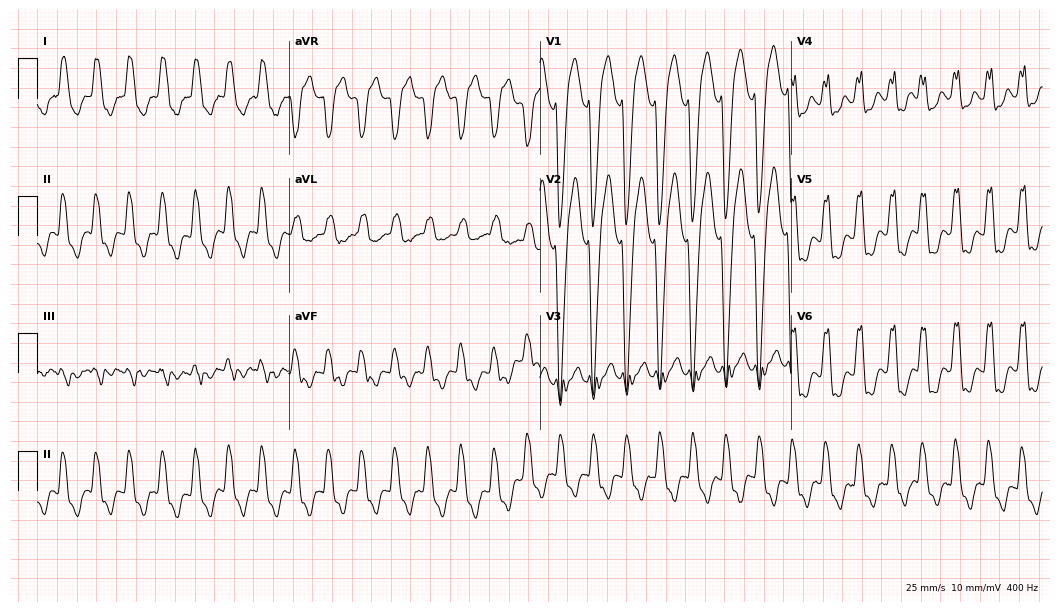
Standard 12-lead ECG recorded from a woman, 82 years old (10.2-second recording at 400 Hz). None of these six findings is recorded: first-degree AV block, right bundle branch block (RBBB), left bundle branch block (LBBB), sinus bradycardia, atrial fibrillation (AF), sinus tachycardia. Only these six findings were labelled.